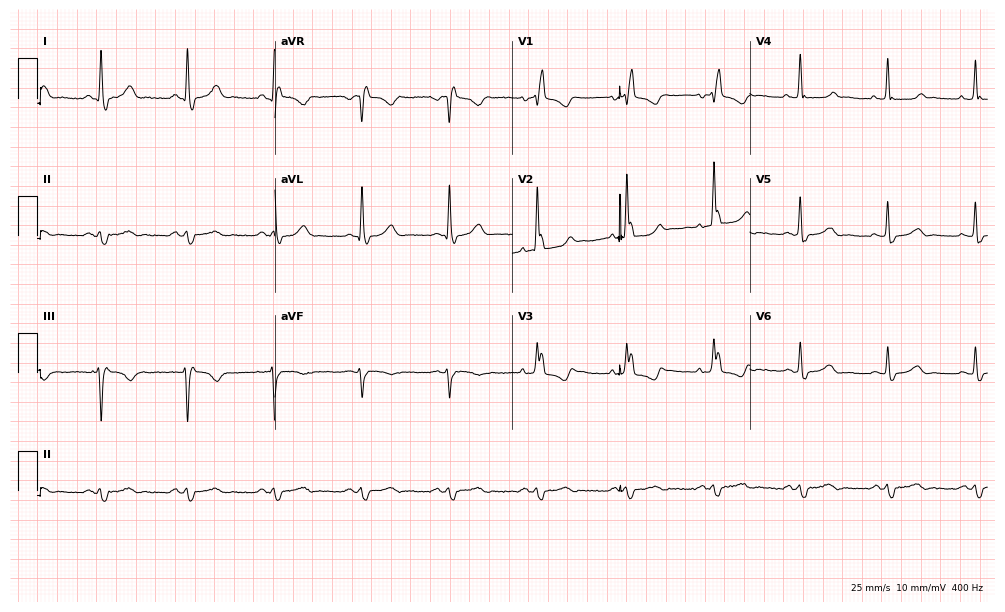
Electrocardiogram (9.7-second recording at 400 Hz), a male, 75 years old. Interpretation includes right bundle branch block.